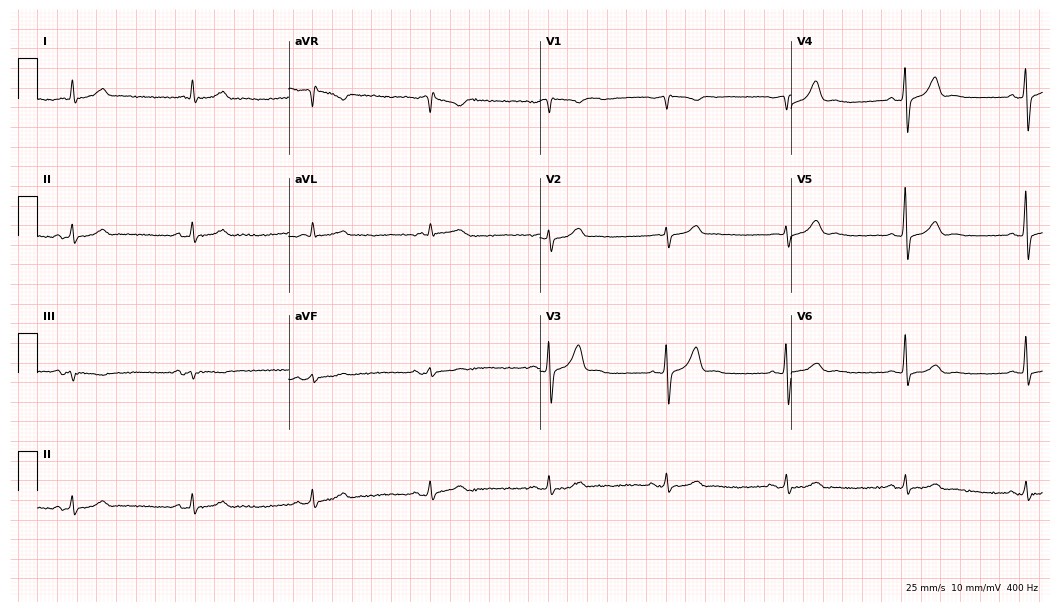
Resting 12-lead electrocardiogram (10.2-second recording at 400 Hz). Patient: a male, 76 years old. The tracing shows sinus bradycardia (a sinus rate of 50 beats per minute or less).